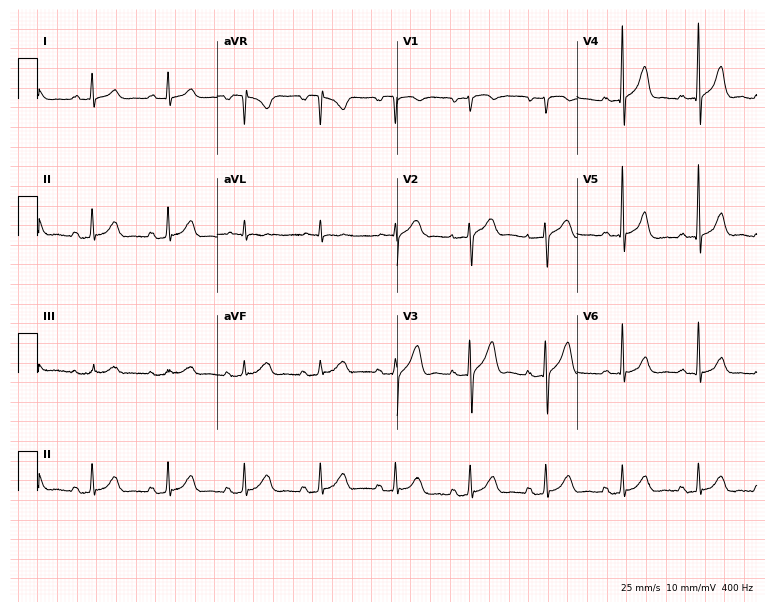
Resting 12-lead electrocardiogram. Patient: a male, 64 years old. Read as a normal ECG.